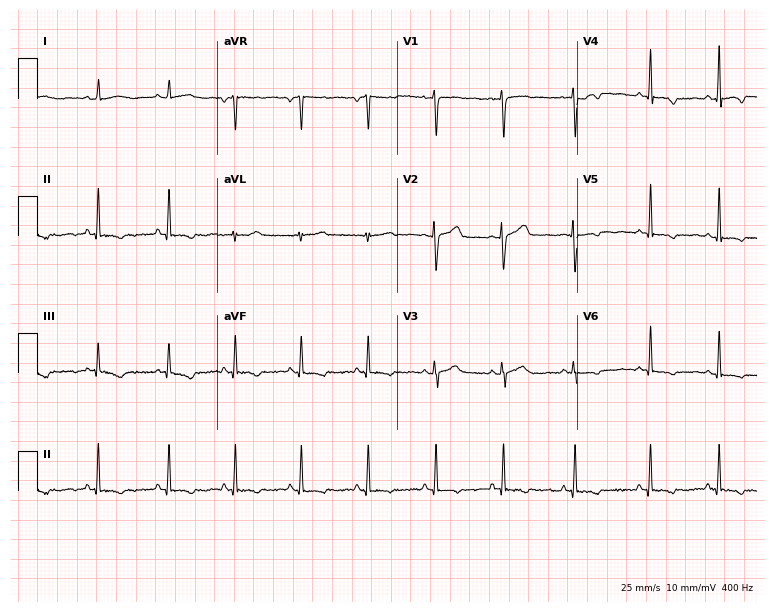
Resting 12-lead electrocardiogram (7.3-second recording at 400 Hz). Patient: a 27-year-old woman. None of these six findings is recorded: first-degree AV block, right bundle branch block, left bundle branch block, sinus bradycardia, atrial fibrillation, sinus tachycardia. Other findings, if any, are not listed.